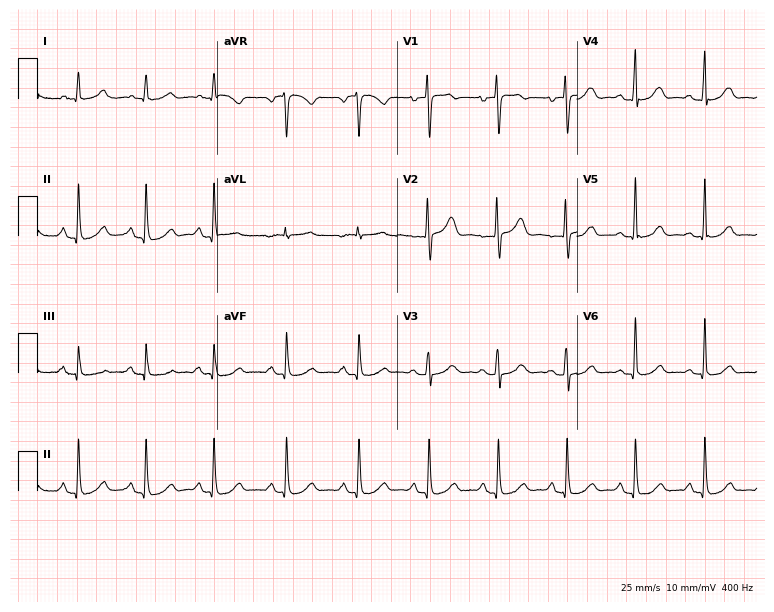
Standard 12-lead ECG recorded from a 63-year-old female. Read as a normal ECG.